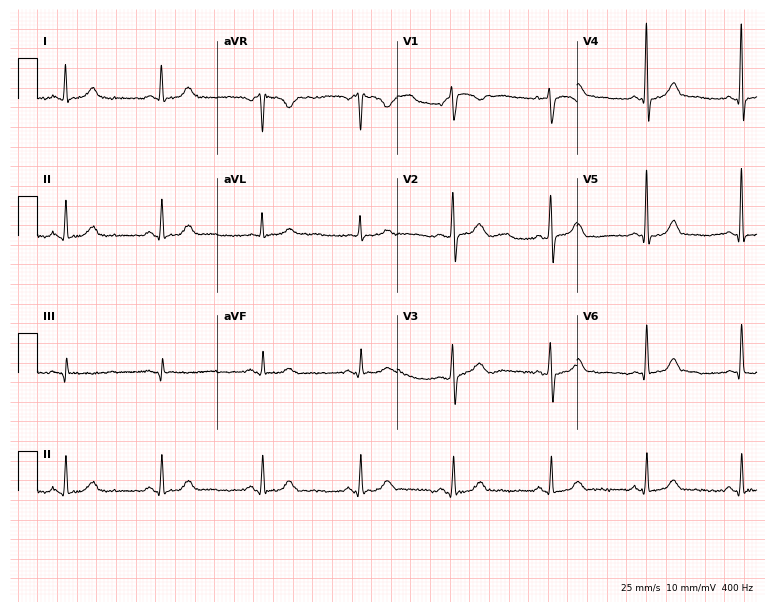
ECG (7.3-second recording at 400 Hz) — a 40-year-old female. Labelled as a normal ECG.